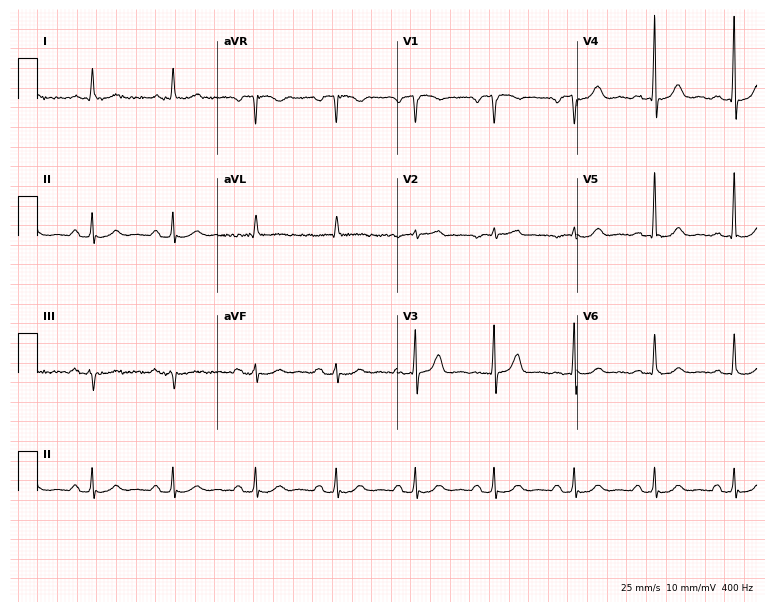
12-lead ECG from a 66-year-old male patient (7.3-second recording at 400 Hz). No first-degree AV block, right bundle branch block, left bundle branch block, sinus bradycardia, atrial fibrillation or sinus tachycardia recorded for this tracing. Only these six findings were labelled.